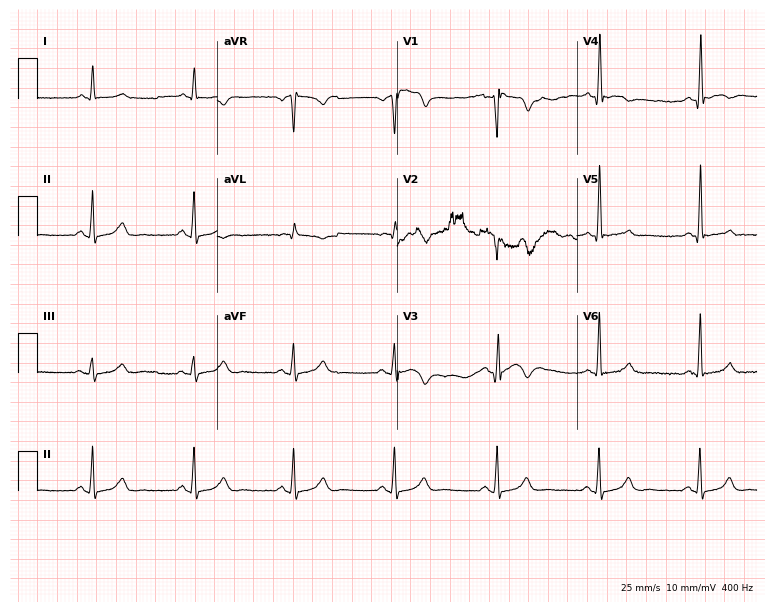
ECG — a male, 62 years old. Screened for six findings — first-degree AV block, right bundle branch block, left bundle branch block, sinus bradycardia, atrial fibrillation, sinus tachycardia — none is recorded.